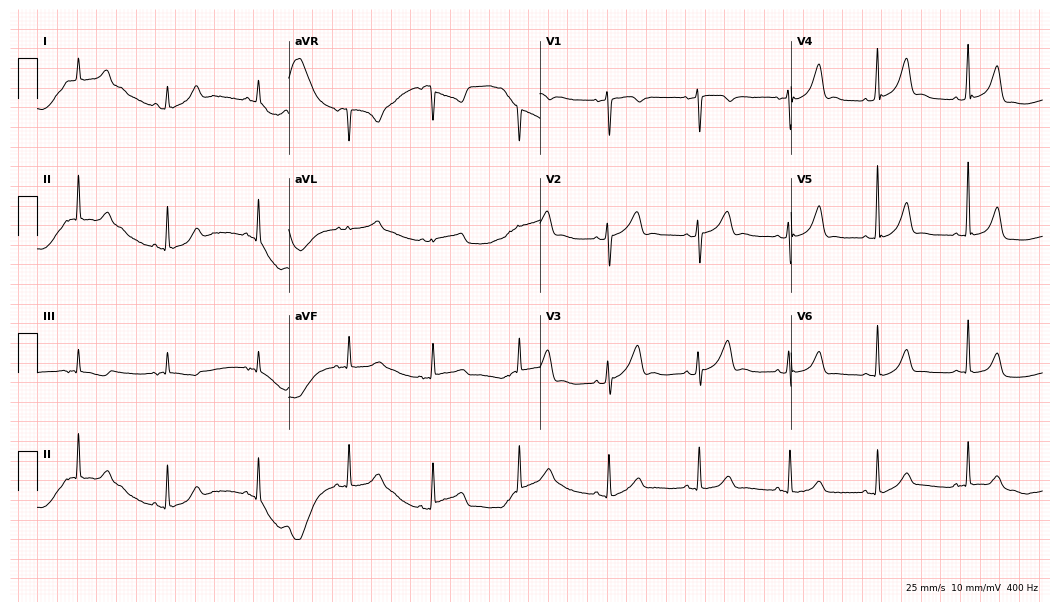
12-lead ECG from a 52-year-old female. Labelled as a normal ECG.